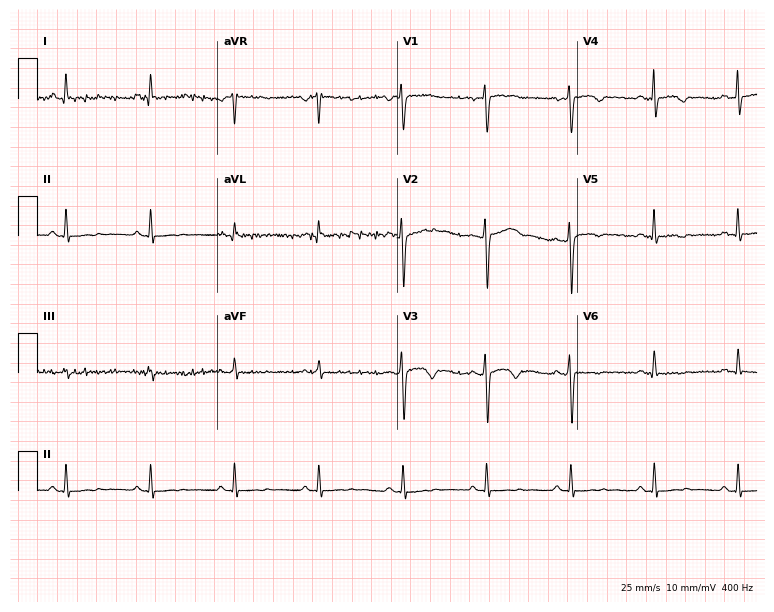
12-lead ECG from a female, 44 years old. Screened for six findings — first-degree AV block, right bundle branch block, left bundle branch block, sinus bradycardia, atrial fibrillation, sinus tachycardia — none is recorded.